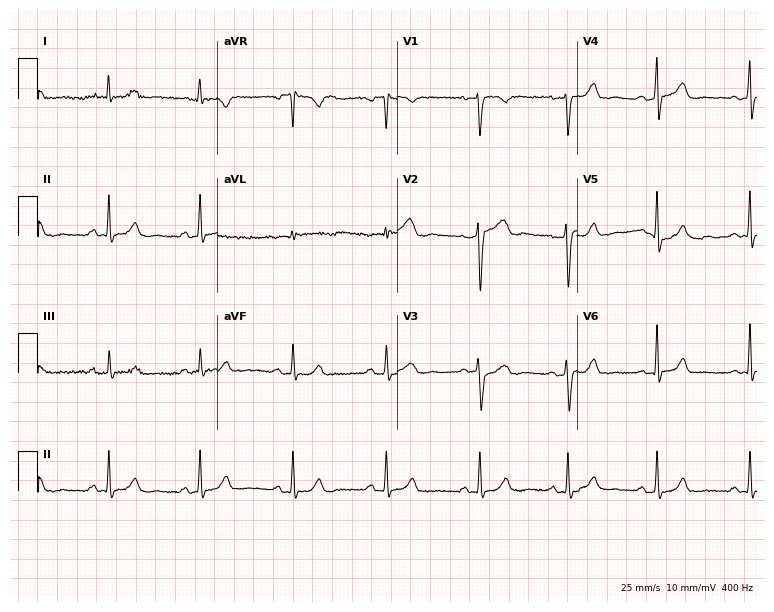
ECG — a 37-year-old female patient. Labelled as a normal ECG.